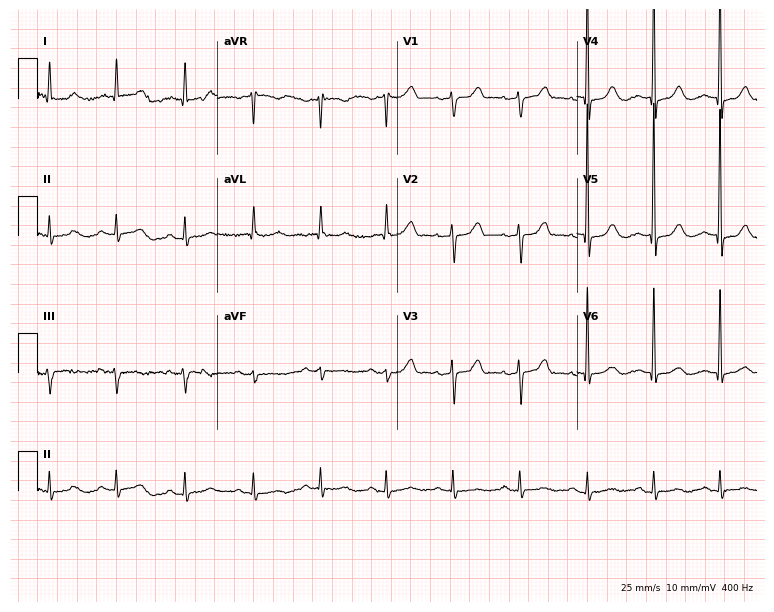
ECG (7.3-second recording at 400 Hz) — a woman, 85 years old. Screened for six findings — first-degree AV block, right bundle branch block, left bundle branch block, sinus bradycardia, atrial fibrillation, sinus tachycardia — none is recorded. Other findings, if any, are not listed.